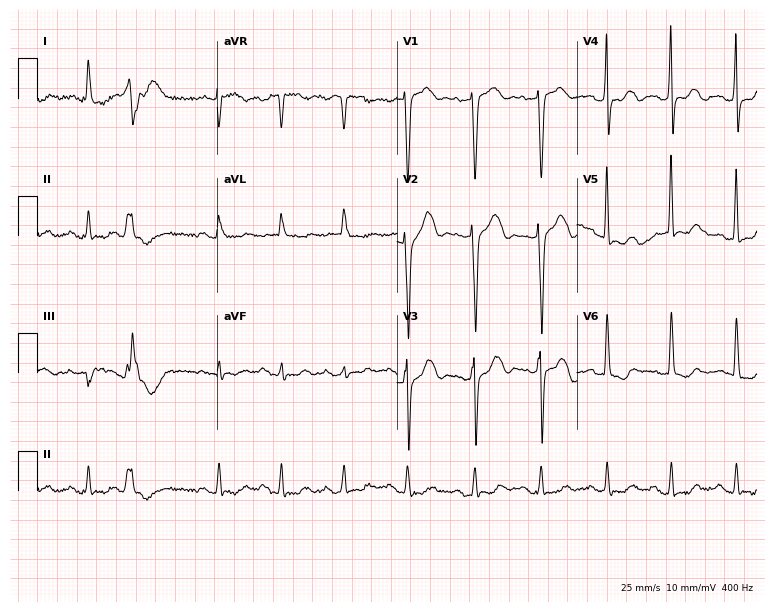
12-lead ECG from a woman, 81 years old (7.3-second recording at 400 Hz). Recorded interpretation: within normal limits.